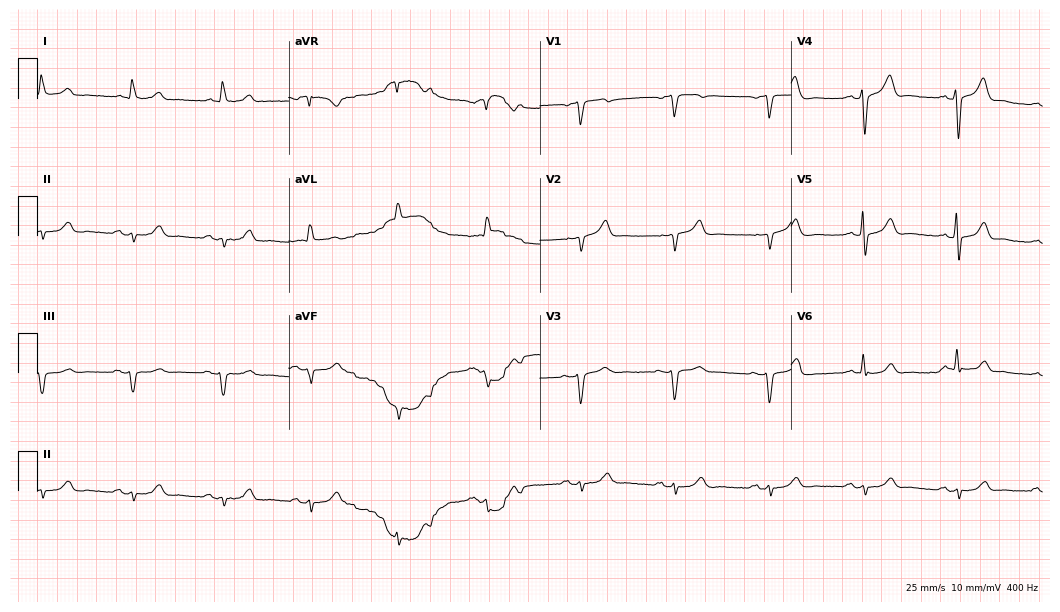
Resting 12-lead electrocardiogram (10.2-second recording at 400 Hz). Patient: a man, 79 years old. None of these six findings is recorded: first-degree AV block, right bundle branch block, left bundle branch block, sinus bradycardia, atrial fibrillation, sinus tachycardia. Findings outside these six are not listed.